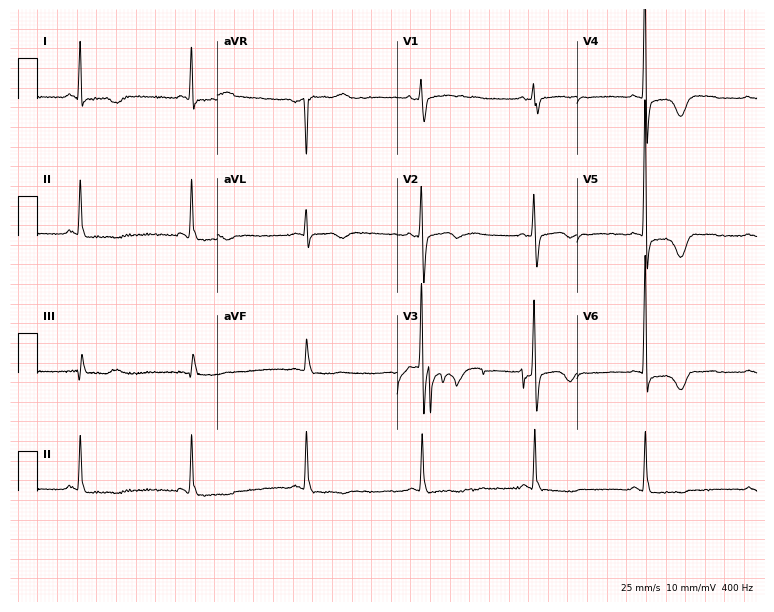
ECG (7.3-second recording at 400 Hz) — a female patient, 65 years old. Screened for six findings — first-degree AV block, right bundle branch block, left bundle branch block, sinus bradycardia, atrial fibrillation, sinus tachycardia — none is recorded.